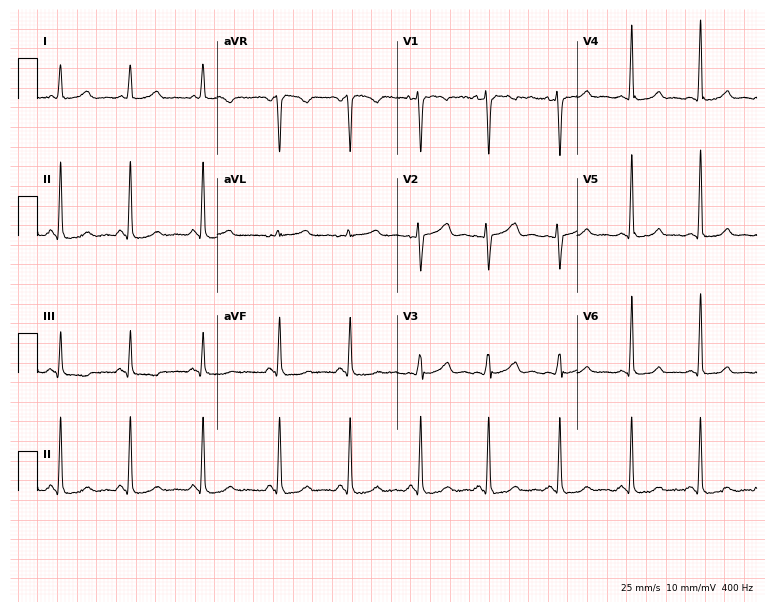
Standard 12-lead ECG recorded from a woman, 30 years old. Read as a normal ECG.